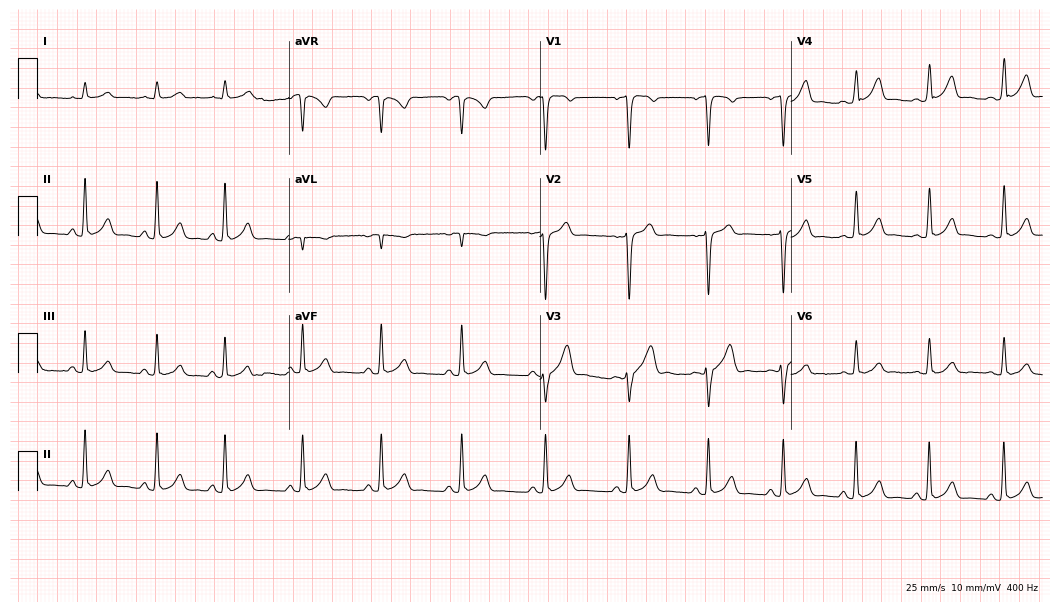
Electrocardiogram, a male patient, 27 years old. Overall reading on record: normal ECG.